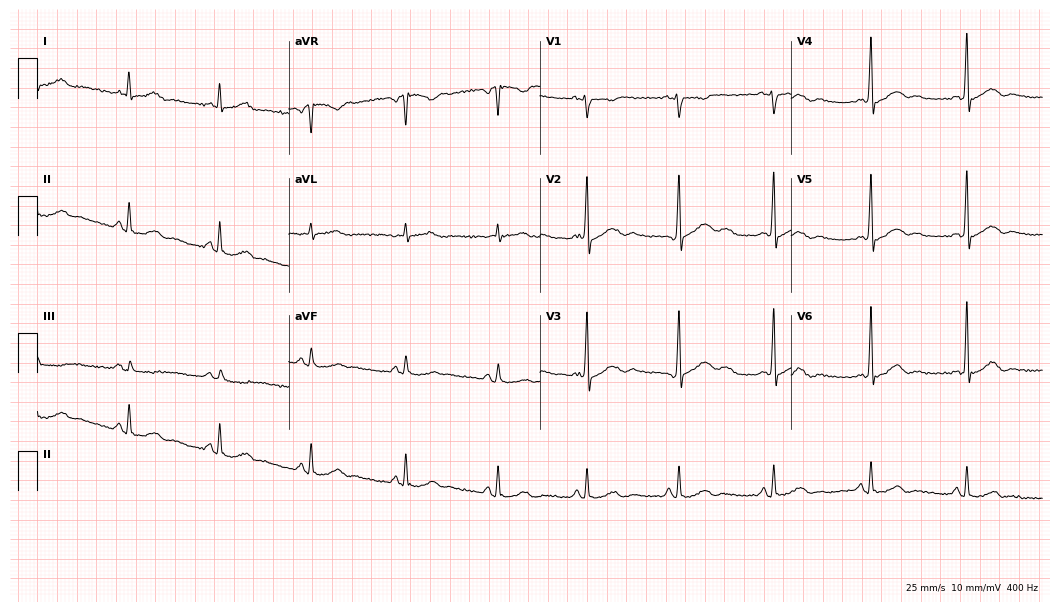
12-lead ECG from a 53-year-old man. No first-degree AV block, right bundle branch block (RBBB), left bundle branch block (LBBB), sinus bradycardia, atrial fibrillation (AF) or sinus tachycardia recorded for this tracing.